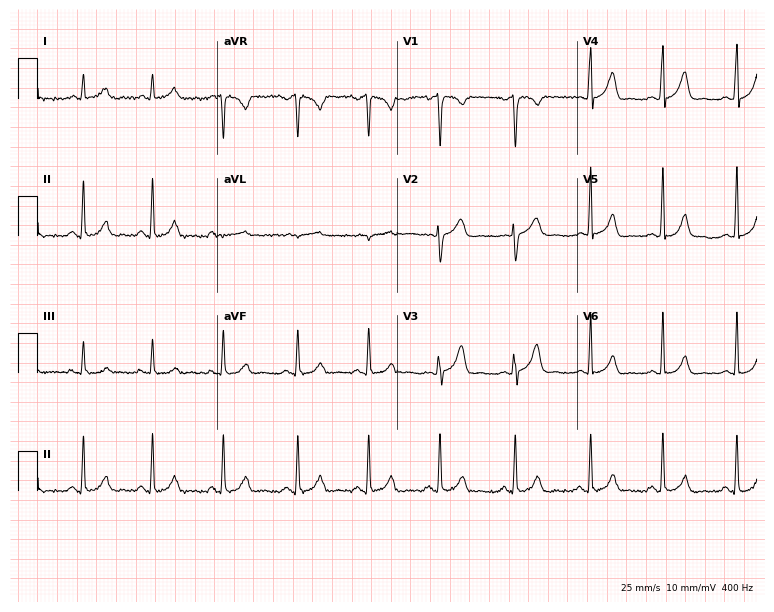
12-lead ECG from a female, 27 years old. Screened for six findings — first-degree AV block, right bundle branch block, left bundle branch block, sinus bradycardia, atrial fibrillation, sinus tachycardia — none is recorded.